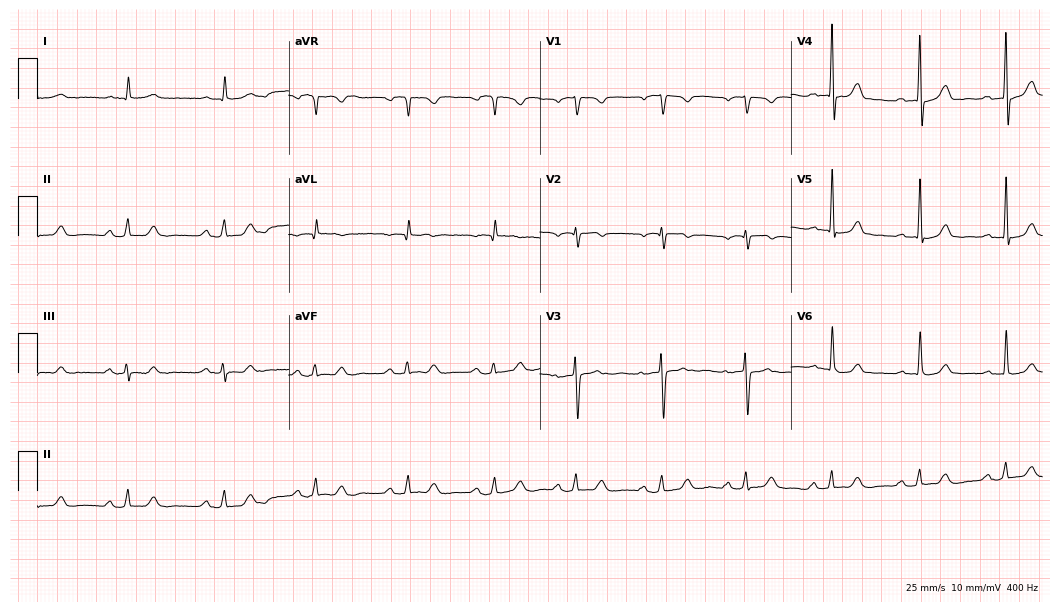
ECG (10.2-second recording at 400 Hz) — a 74-year-old man. Screened for six findings — first-degree AV block, right bundle branch block, left bundle branch block, sinus bradycardia, atrial fibrillation, sinus tachycardia — none is recorded. Only these six findings were labelled.